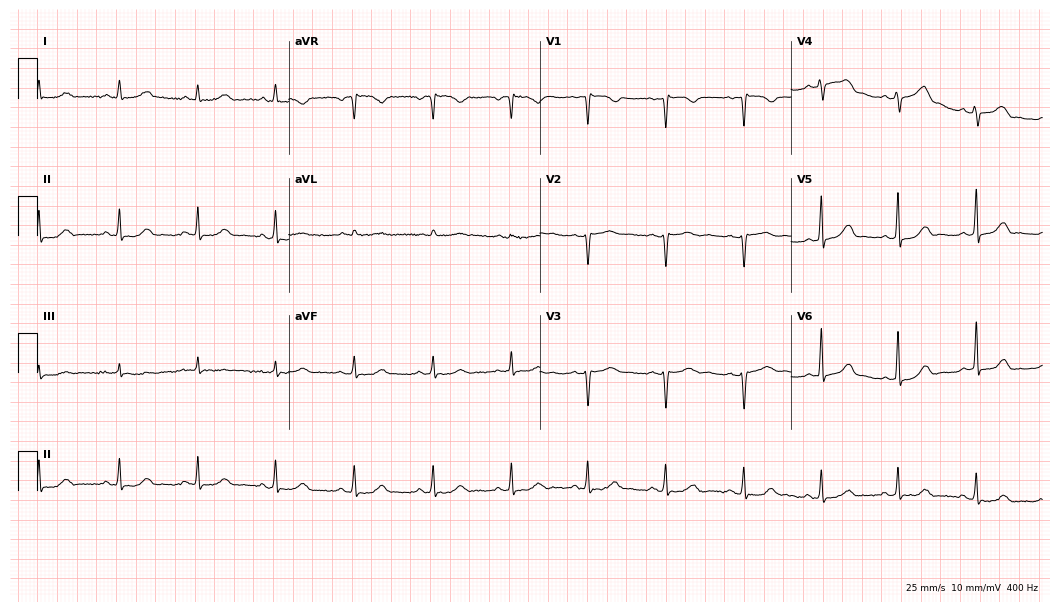
12-lead ECG from a woman, 37 years old. Screened for six findings — first-degree AV block, right bundle branch block, left bundle branch block, sinus bradycardia, atrial fibrillation, sinus tachycardia — none is recorded. Only these six findings were labelled.